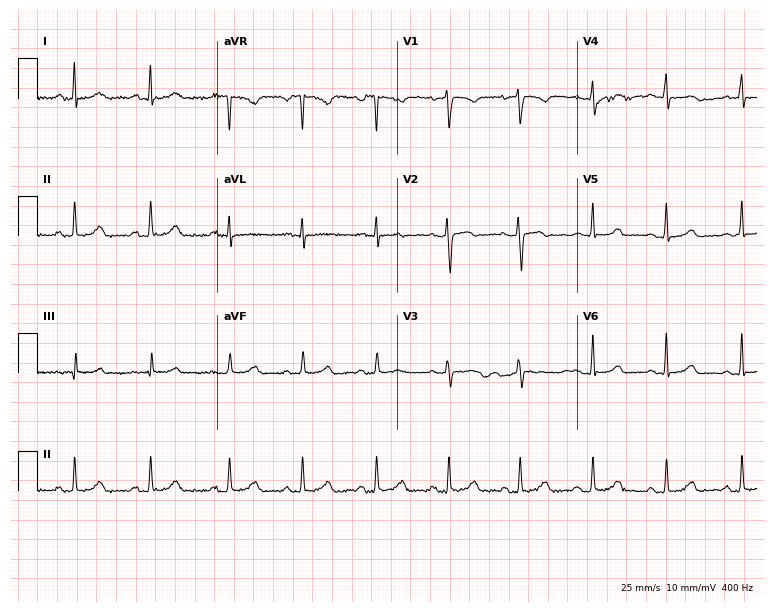
12-lead ECG from a 26-year-old woman (7.3-second recording at 400 Hz). Recorded interpretation: within normal limits.